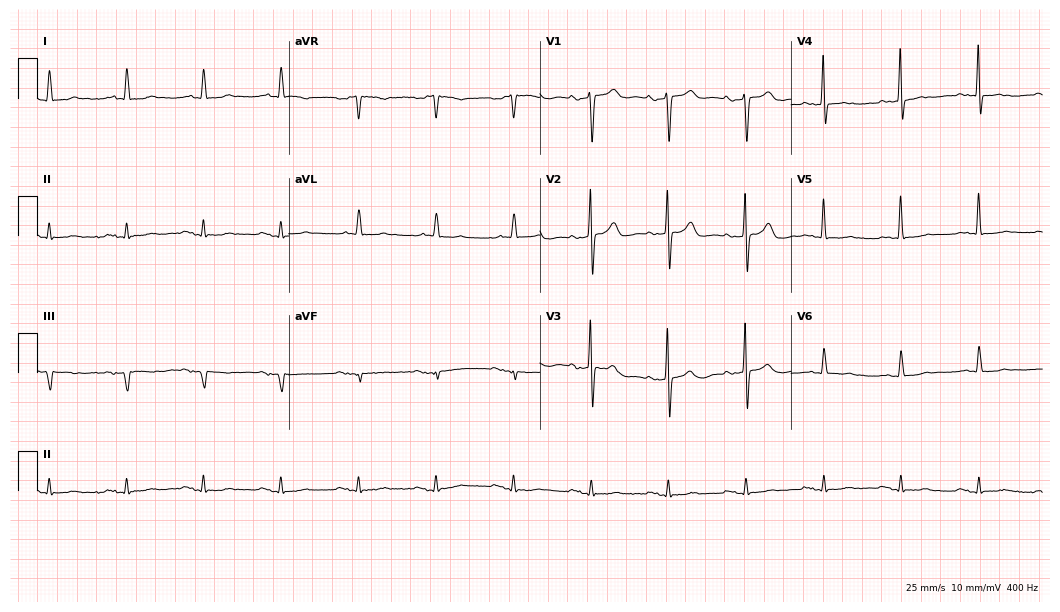
Electrocardiogram (10.2-second recording at 400 Hz), an 87-year-old male patient. Of the six screened findings (first-degree AV block, right bundle branch block, left bundle branch block, sinus bradycardia, atrial fibrillation, sinus tachycardia), none is recorded.